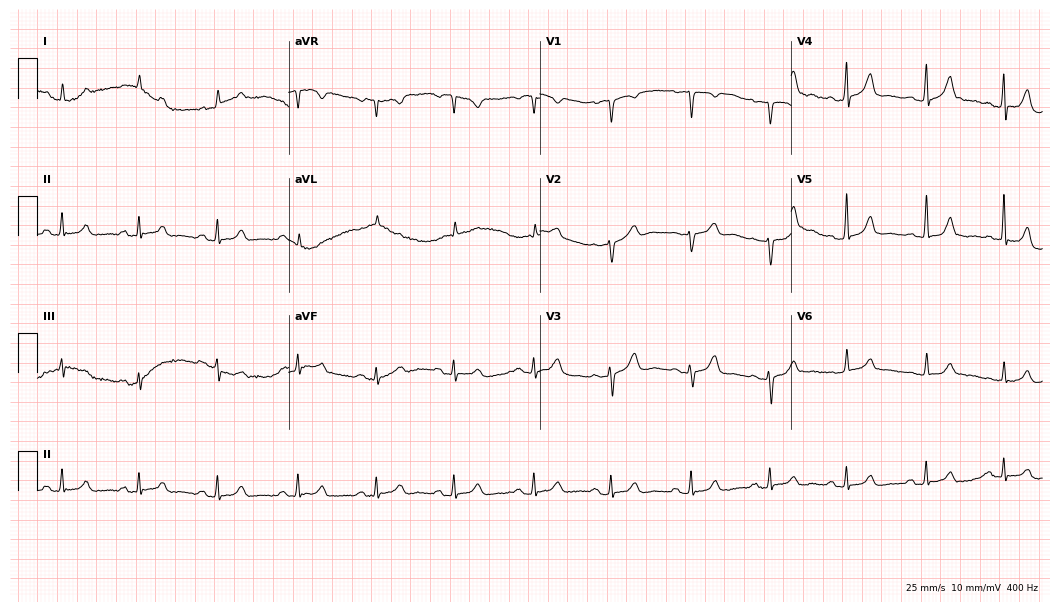
12-lead ECG (10.2-second recording at 400 Hz) from a 62-year-old female patient. Labelled as a normal ECG.